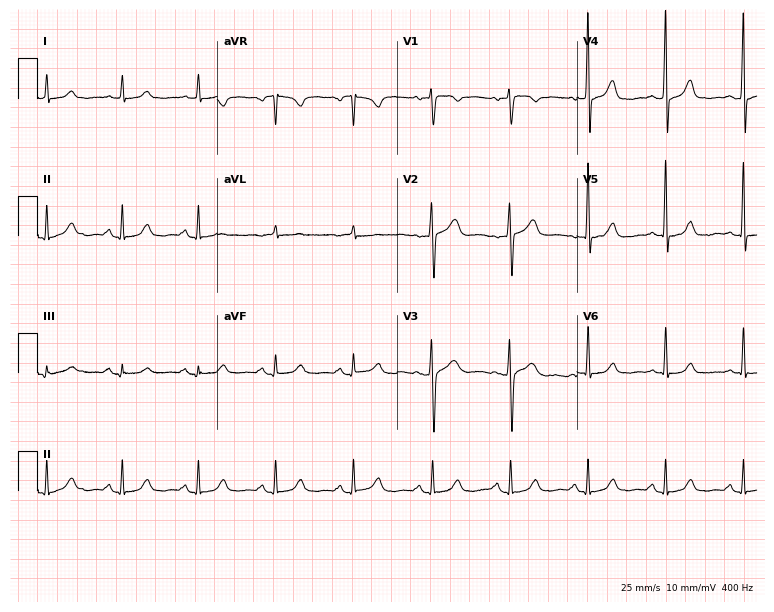
Standard 12-lead ECG recorded from a 52-year-old woman (7.3-second recording at 400 Hz). None of these six findings is recorded: first-degree AV block, right bundle branch block, left bundle branch block, sinus bradycardia, atrial fibrillation, sinus tachycardia.